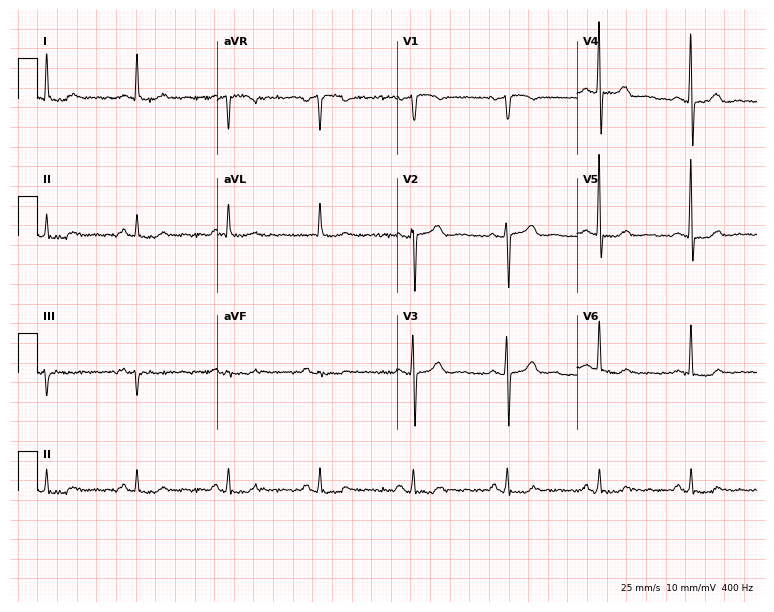
12-lead ECG from a male patient, 53 years old. No first-degree AV block, right bundle branch block, left bundle branch block, sinus bradycardia, atrial fibrillation or sinus tachycardia recorded for this tracing.